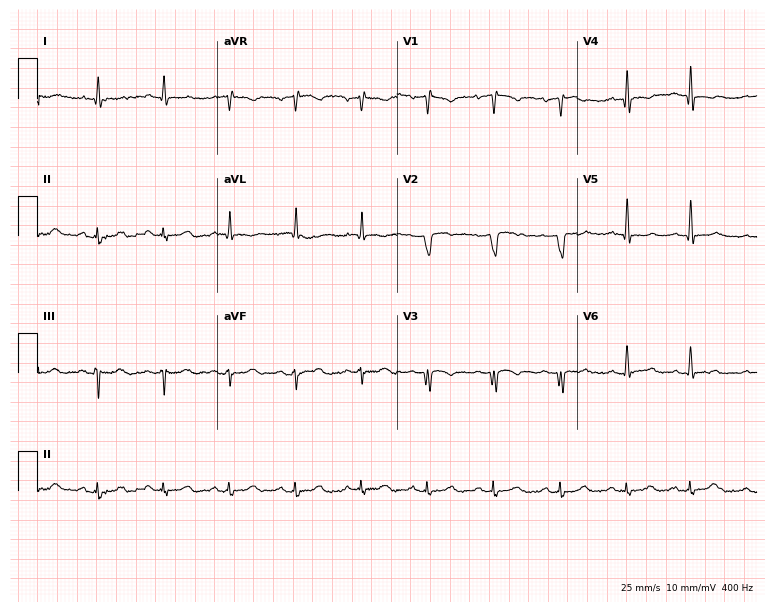
12-lead ECG from an 84-year-old male patient (7.3-second recording at 400 Hz). No first-degree AV block, right bundle branch block (RBBB), left bundle branch block (LBBB), sinus bradycardia, atrial fibrillation (AF) or sinus tachycardia recorded for this tracing.